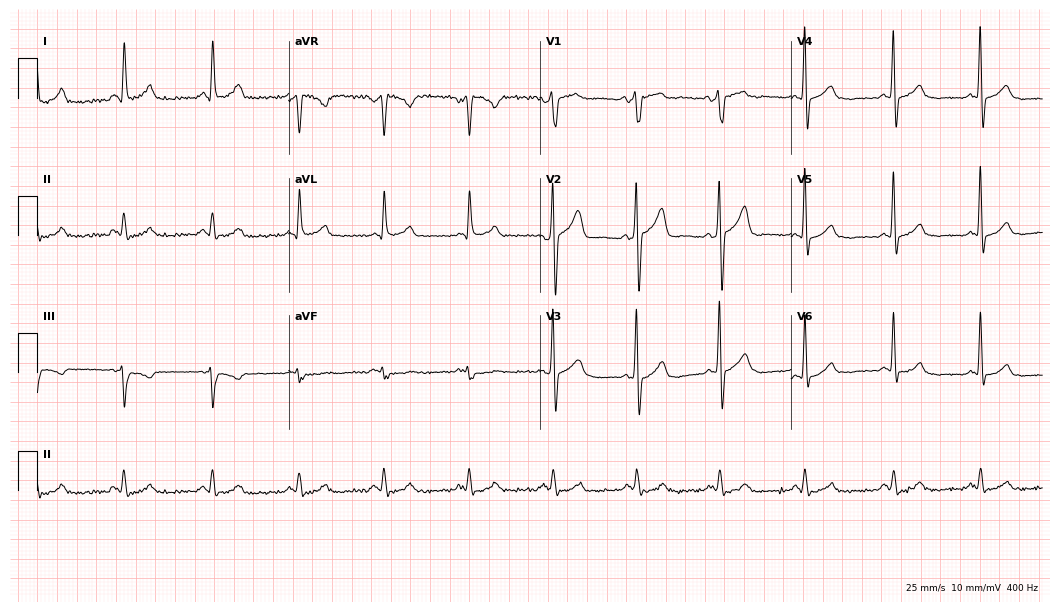
Standard 12-lead ECG recorded from a man, 56 years old. None of these six findings is recorded: first-degree AV block, right bundle branch block, left bundle branch block, sinus bradycardia, atrial fibrillation, sinus tachycardia.